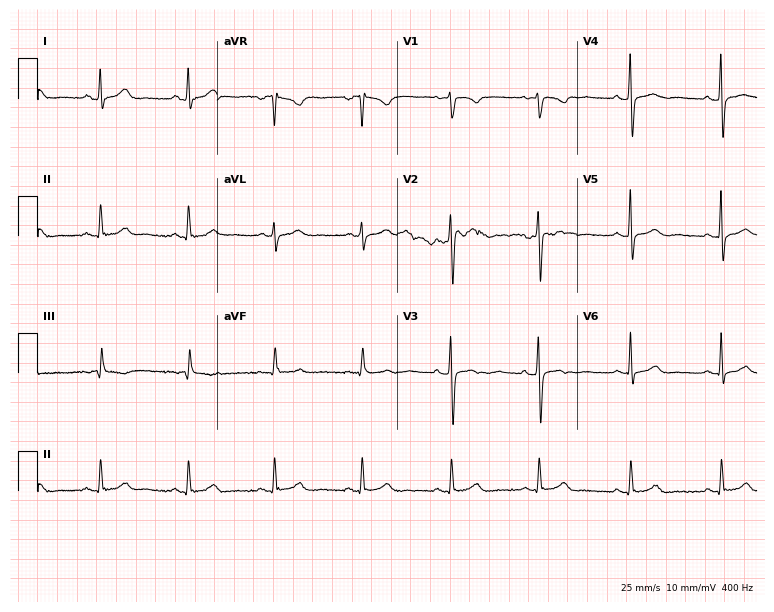
12-lead ECG (7.3-second recording at 400 Hz) from a woman, 41 years old. Labelled as a normal ECG.